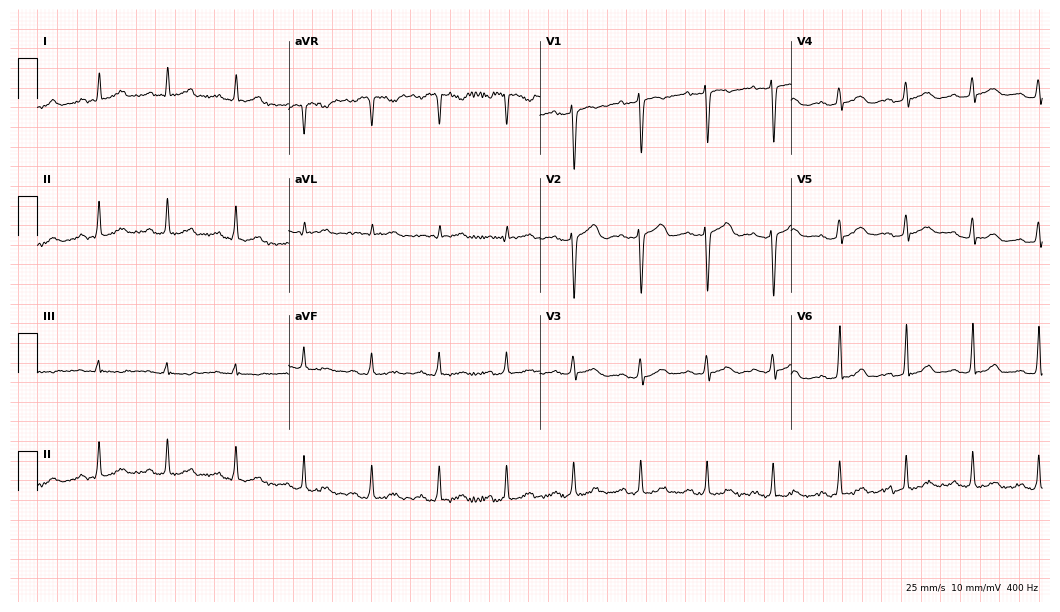
Resting 12-lead electrocardiogram. Patient: a 30-year-old female. None of these six findings is recorded: first-degree AV block, right bundle branch block, left bundle branch block, sinus bradycardia, atrial fibrillation, sinus tachycardia. Findings outside these six are not listed.